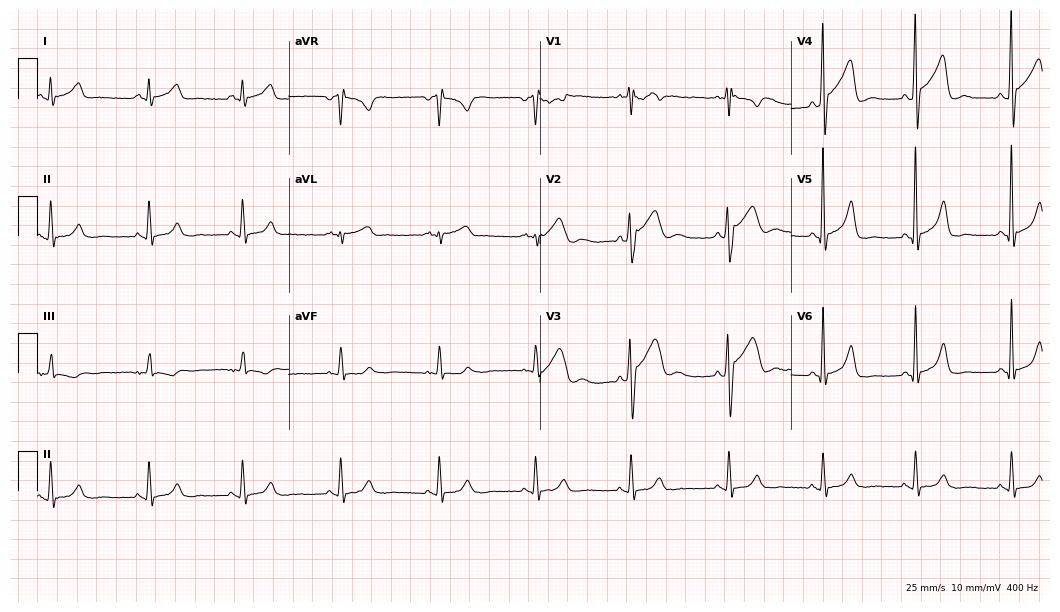
ECG — a male, 43 years old. Screened for six findings — first-degree AV block, right bundle branch block (RBBB), left bundle branch block (LBBB), sinus bradycardia, atrial fibrillation (AF), sinus tachycardia — none is recorded.